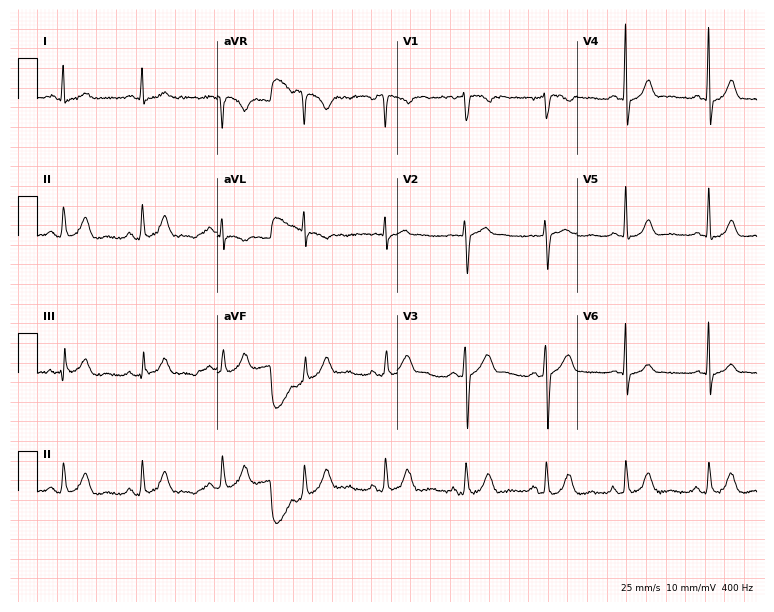
Standard 12-lead ECG recorded from a woman, 32 years old. Read as a normal ECG.